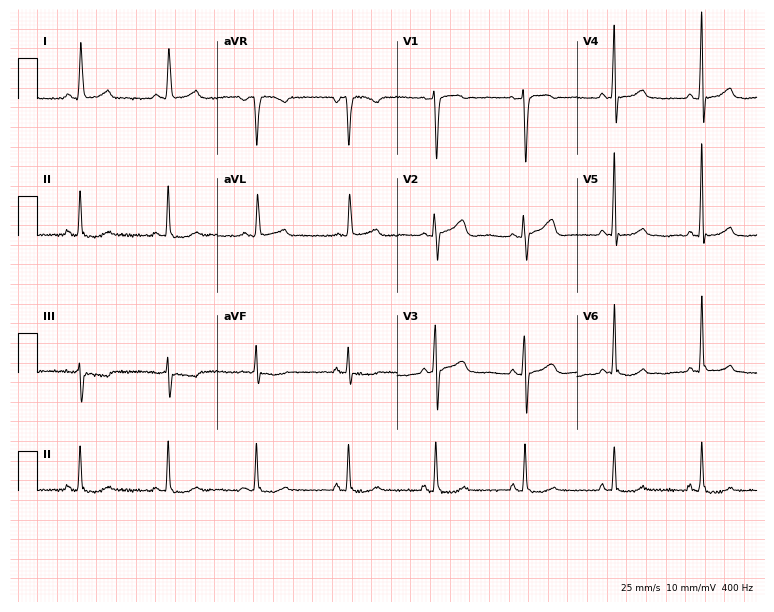
Standard 12-lead ECG recorded from a 69-year-old woman. Read as a normal ECG.